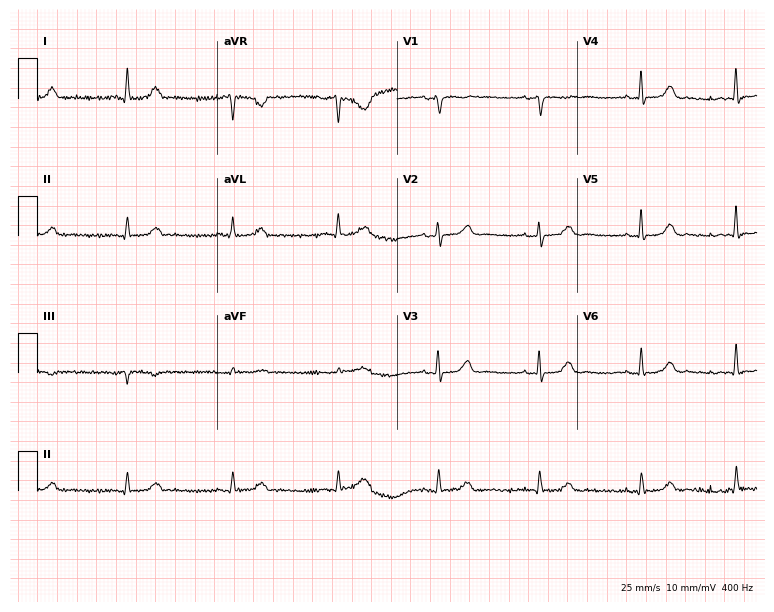
12-lead ECG from a woman, 43 years old. No first-degree AV block, right bundle branch block (RBBB), left bundle branch block (LBBB), sinus bradycardia, atrial fibrillation (AF) or sinus tachycardia recorded for this tracing. Only these six findings were labelled.